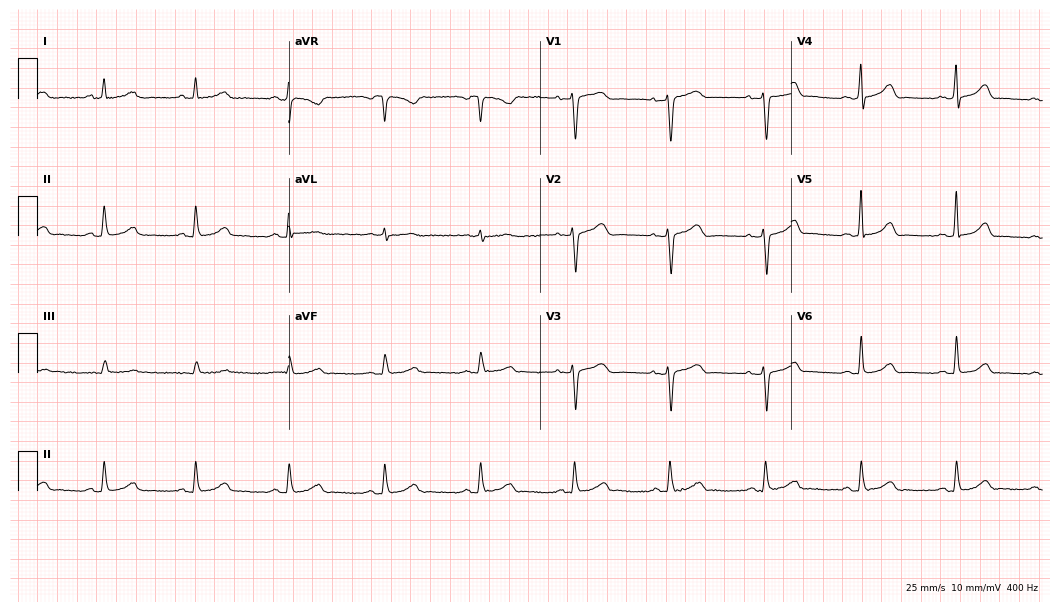
Electrocardiogram, a female patient, 63 years old. Overall reading on record: normal ECG.